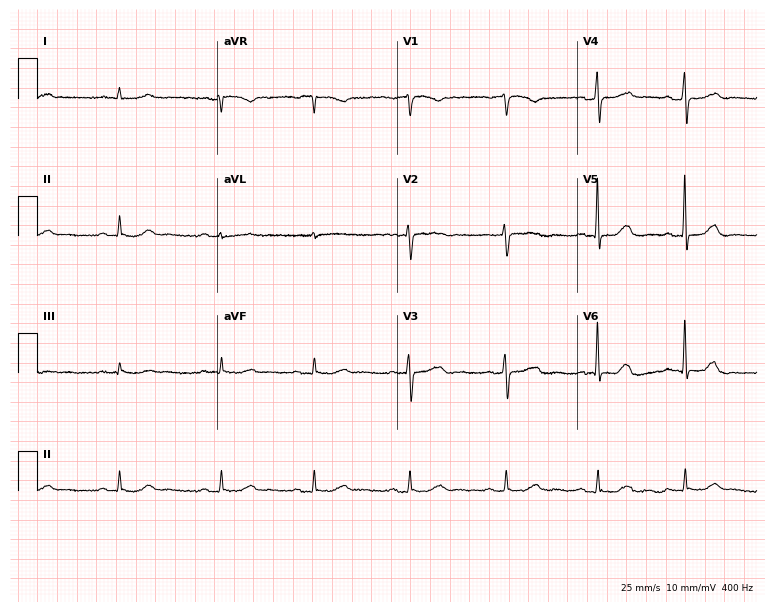
Standard 12-lead ECG recorded from a 69-year-old woman. None of these six findings is recorded: first-degree AV block, right bundle branch block (RBBB), left bundle branch block (LBBB), sinus bradycardia, atrial fibrillation (AF), sinus tachycardia. Only these six findings were labelled.